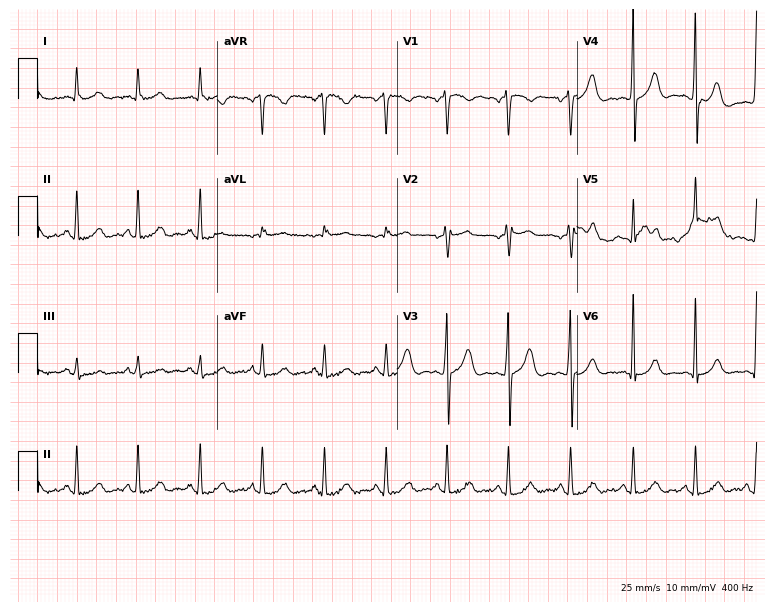
Electrocardiogram (7.3-second recording at 400 Hz), a male patient, 48 years old. Of the six screened findings (first-degree AV block, right bundle branch block, left bundle branch block, sinus bradycardia, atrial fibrillation, sinus tachycardia), none is recorded.